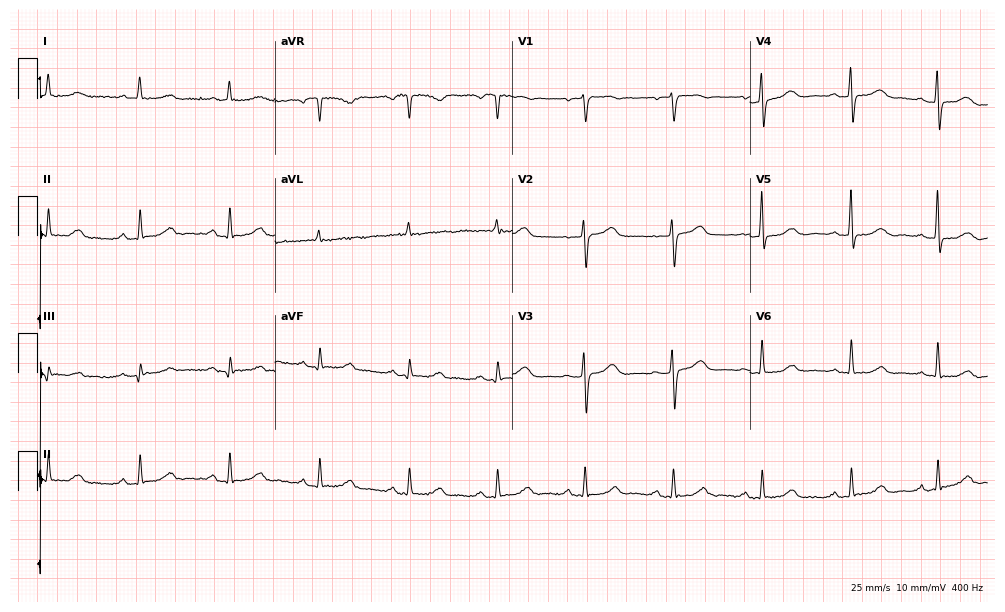
Electrocardiogram (9.7-second recording at 400 Hz), a 73-year-old woman. Overall reading on record: normal ECG.